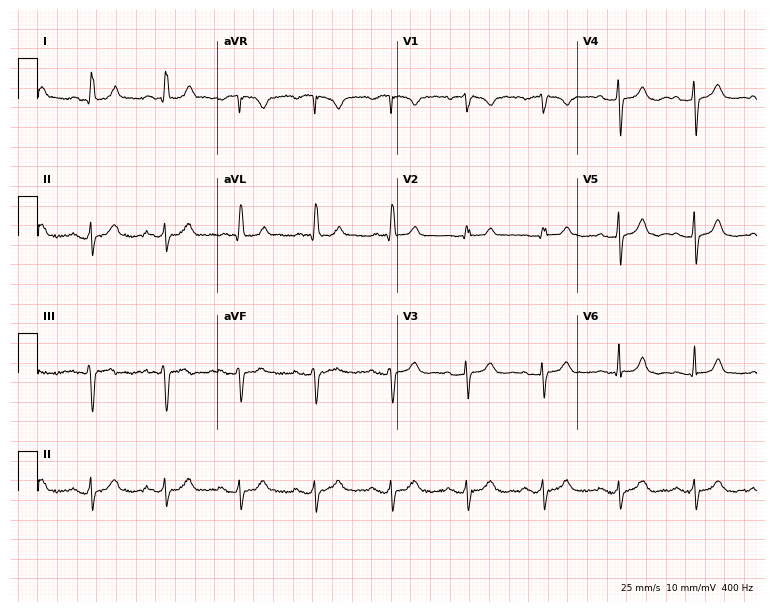
12-lead ECG from an 83-year-old woman. No first-degree AV block, right bundle branch block, left bundle branch block, sinus bradycardia, atrial fibrillation or sinus tachycardia recorded for this tracing.